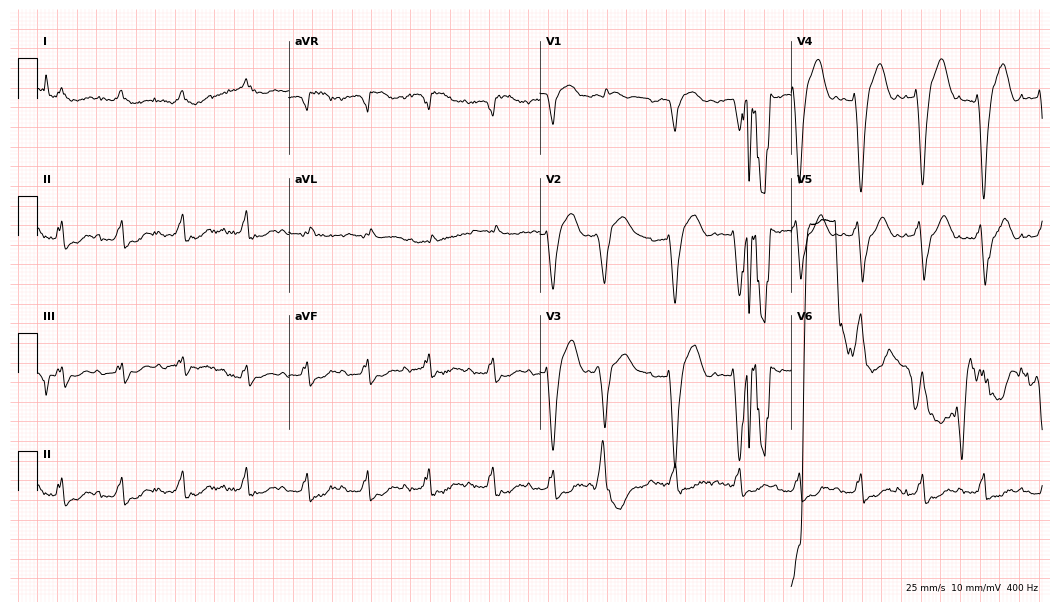
Standard 12-lead ECG recorded from a 76-year-old male. None of these six findings is recorded: first-degree AV block, right bundle branch block (RBBB), left bundle branch block (LBBB), sinus bradycardia, atrial fibrillation (AF), sinus tachycardia. Findings outside these six are not listed.